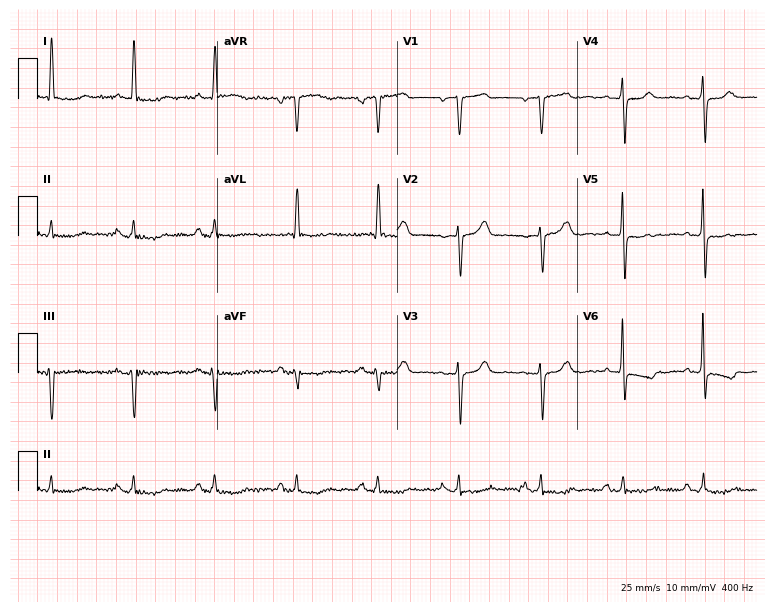
ECG — a man, 64 years old. Screened for six findings — first-degree AV block, right bundle branch block (RBBB), left bundle branch block (LBBB), sinus bradycardia, atrial fibrillation (AF), sinus tachycardia — none is recorded. Findings outside these six are not listed.